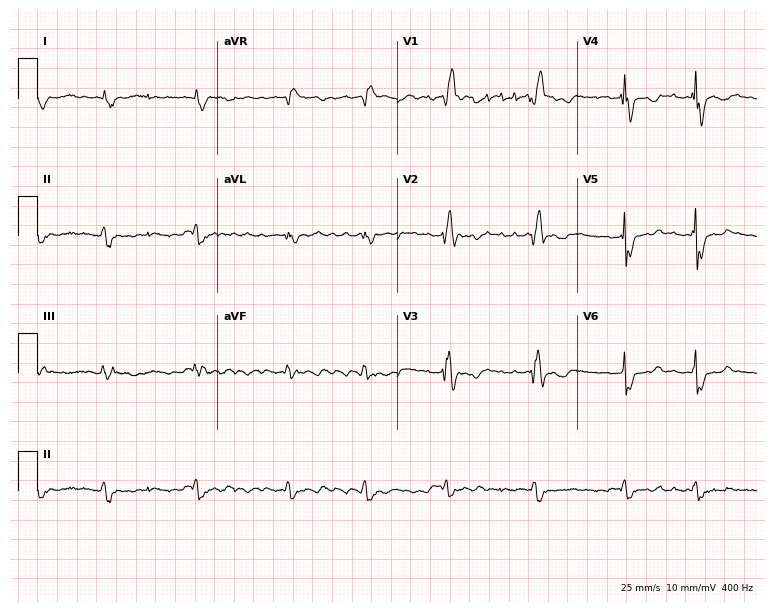
Electrocardiogram, a 61-year-old male. Interpretation includes right bundle branch block, atrial fibrillation.